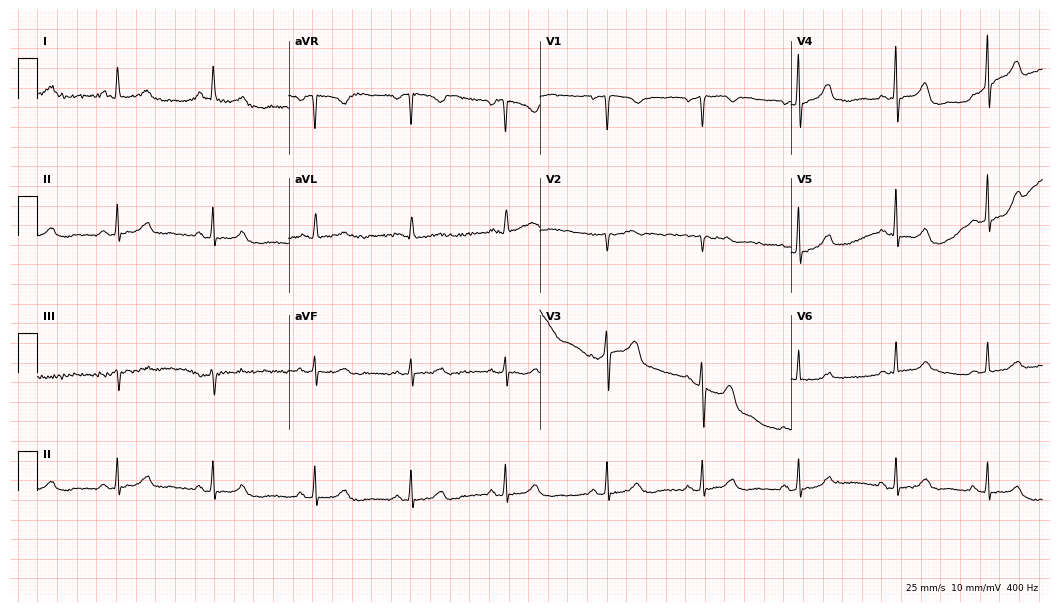
12-lead ECG from a 42-year-old female patient. Labelled as a normal ECG.